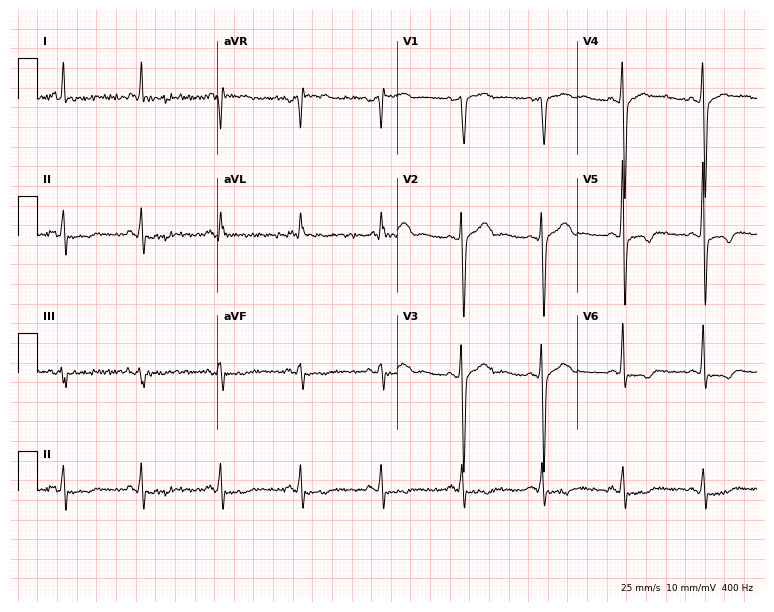
ECG (7.3-second recording at 400 Hz) — a man, 55 years old. Screened for six findings — first-degree AV block, right bundle branch block, left bundle branch block, sinus bradycardia, atrial fibrillation, sinus tachycardia — none is recorded.